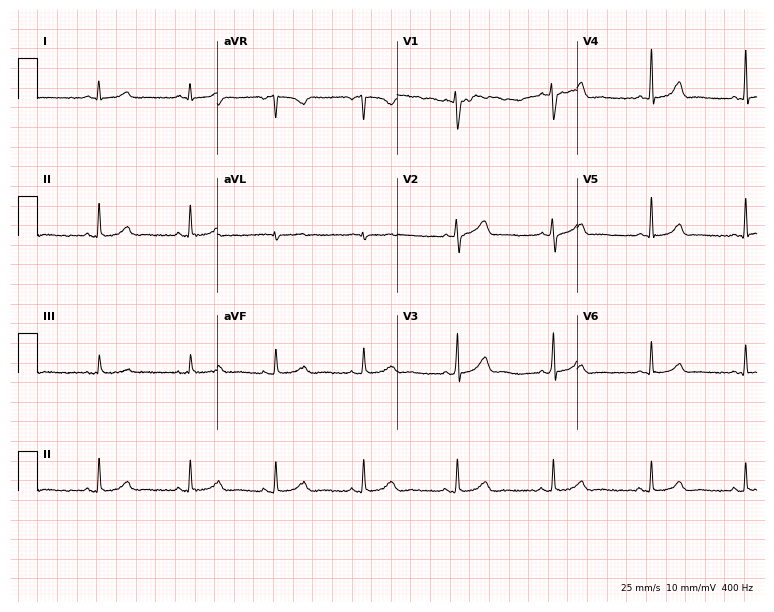
ECG — a 34-year-old female. Screened for six findings — first-degree AV block, right bundle branch block (RBBB), left bundle branch block (LBBB), sinus bradycardia, atrial fibrillation (AF), sinus tachycardia — none is recorded. Only these six findings were labelled.